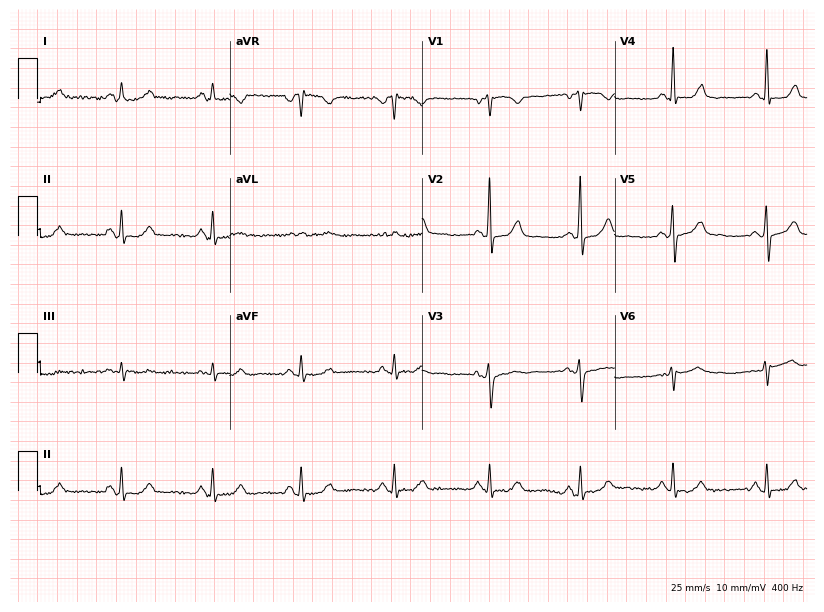
Electrocardiogram (7.8-second recording at 400 Hz), a 62-year-old woman. Of the six screened findings (first-degree AV block, right bundle branch block (RBBB), left bundle branch block (LBBB), sinus bradycardia, atrial fibrillation (AF), sinus tachycardia), none is recorded.